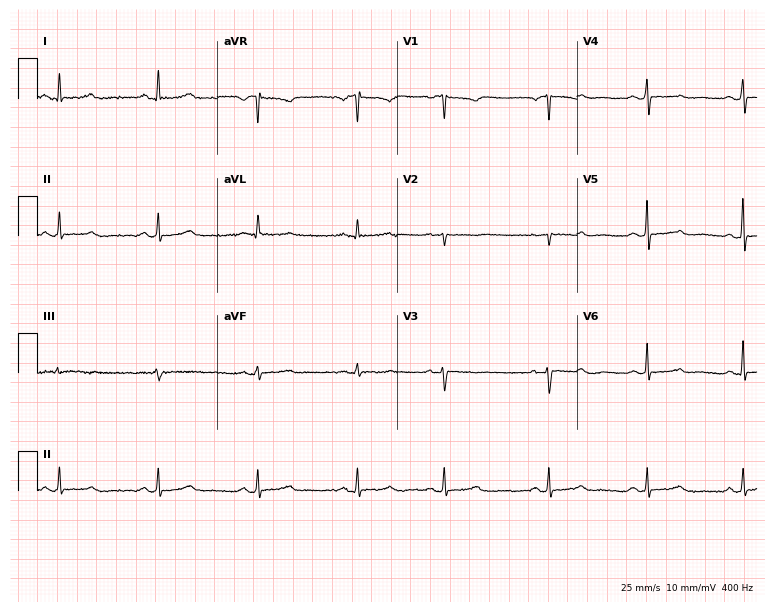
Standard 12-lead ECG recorded from a female patient, 71 years old. None of these six findings is recorded: first-degree AV block, right bundle branch block, left bundle branch block, sinus bradycardia, atrial fibrillation, sinus tachycardia.